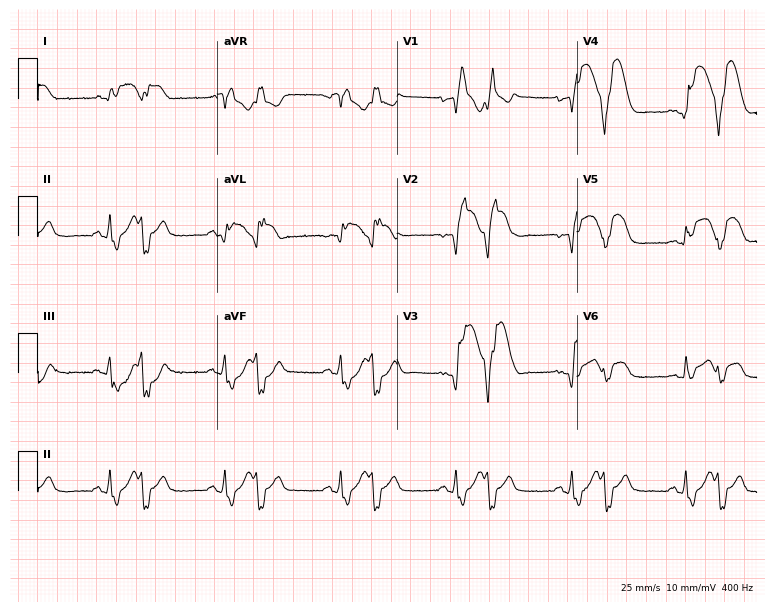
Standard 12-lead ECG recorded from a 65-year-old man (7.3-second recording at 400 Hz). The tracing shows right bundle branch block (RBBB).